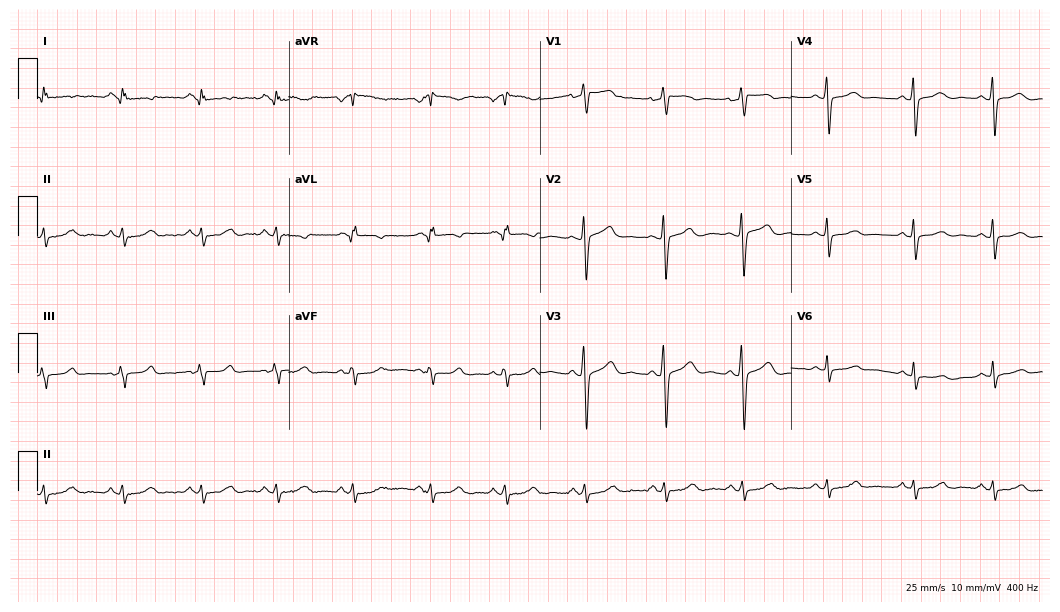
Standard 12-lead ECG recorded from a female, 28 years old (10.2-second recording at 400 Hz). None of these six findings is recorded: first-degree AV block, right bundle branch block (RBBB), left bundle branch block (LBBB), sinus bradycardia, atrial fibrillation (AF), sinus tachycardia.